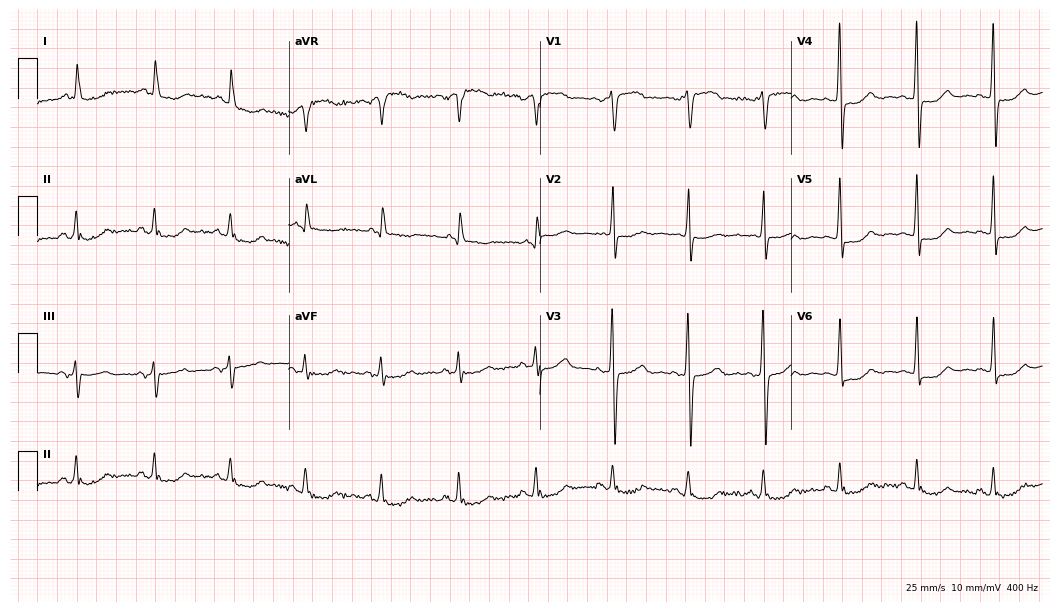
ECG (10.2-second recording at 400 Hz) — a woman, 58 years old. Screened for six findings — first-degree AV block, right bundle branch block, left bundle branch block, sinus bradycardia, atrial fibrillation, sinus tachycardia — none is recorded.